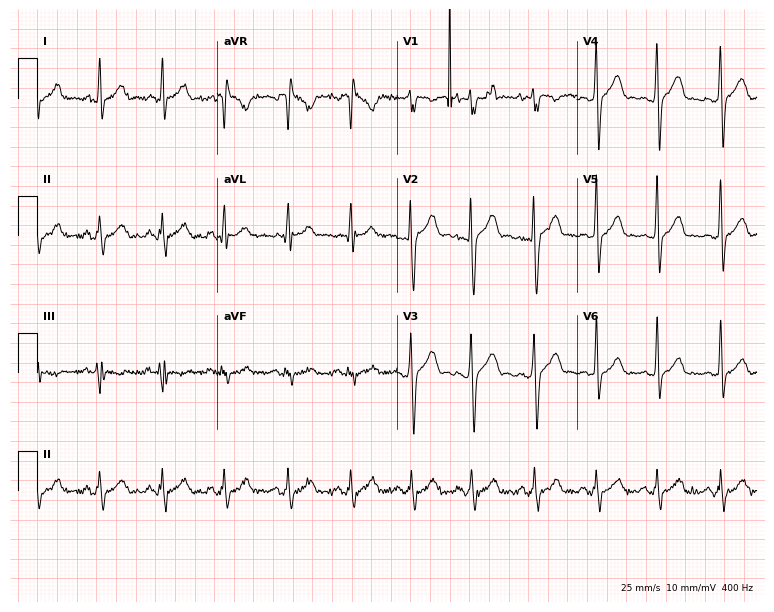
Standard 12-lead ECG recorded from a 21-year-old man (7.3-second recording at 400 Hz). None of these six findings is recorded: first-degree AV block, right bundle branch block (RBBB), left bundle branch block (LBBB), sinus bradycardia, atrial fibrillation (AF), sinus tachycardia.